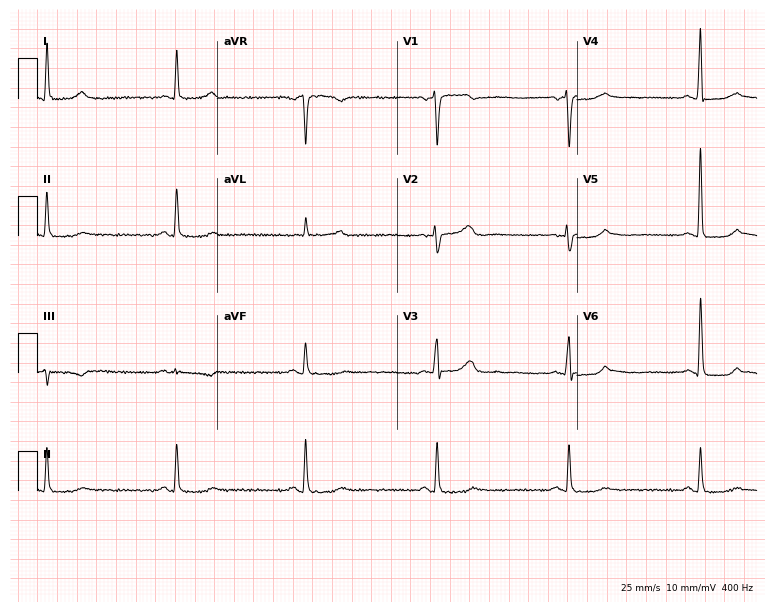
Electrocardiogram (7.3-second recording at 400 Hz), a 74-year-old female. Of the six screened findings (first-degree AV block, right bundle branch block (RBBB), left bundle branch block (LBBB), sinus bradycardia, atrial fibrillation (AF), sinus tachycardia), none is recorded.